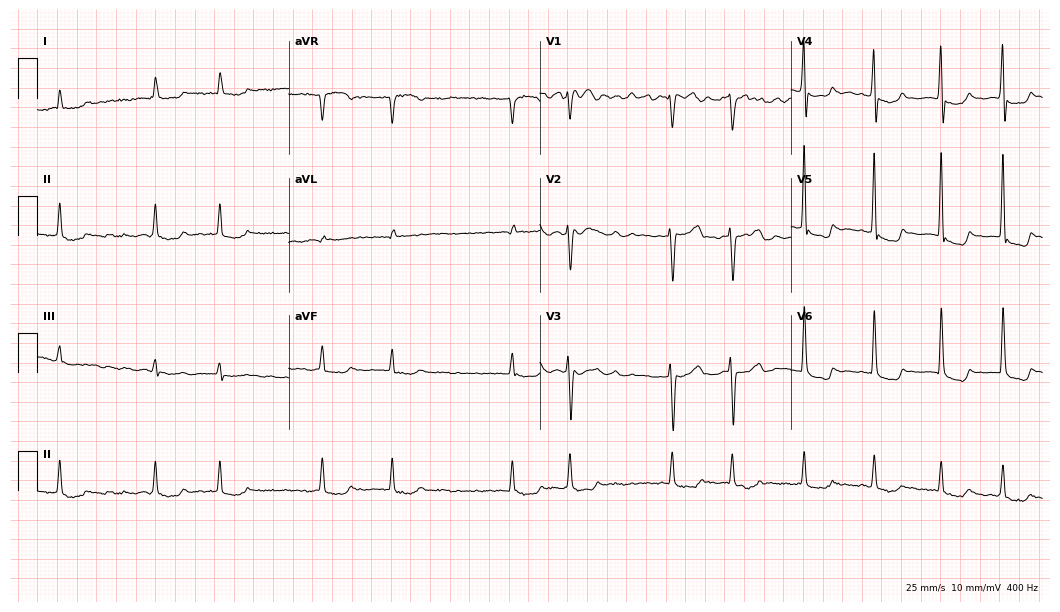
12-lead ECG (10.2-second recording at 400 Hz) from a woman, 69 years old. Findings include atrial fibrillation.